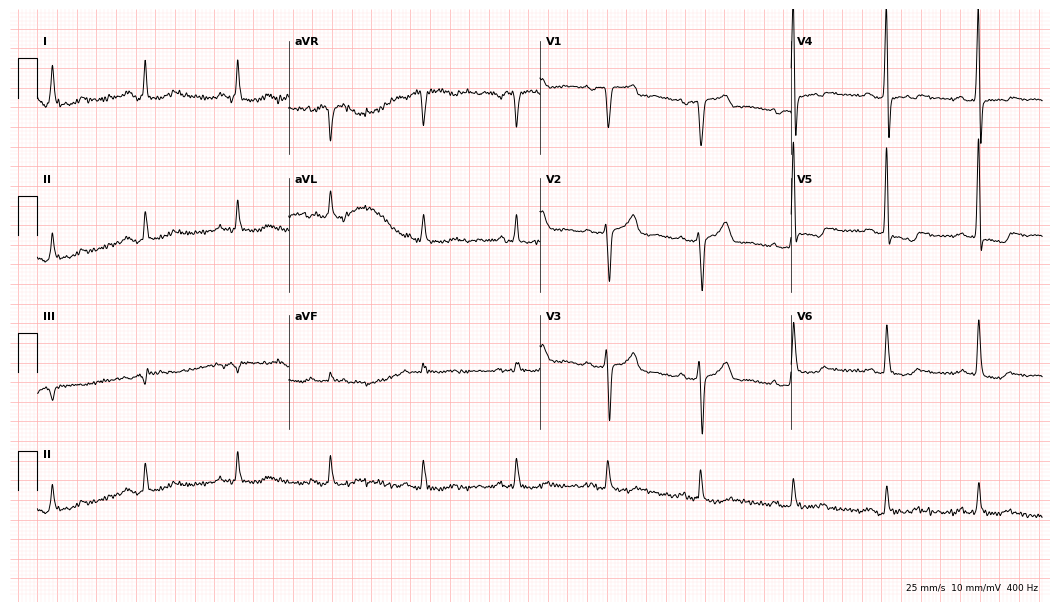
Standard 12-lead ECG recorded from a man, 70 years old (10.2-second recording at 400 Hz). None of these six findings is recorded: first-degree AV block, right bundle branch block, left bundle branch block, sinus bradycardia, atrial fibrillation, sinus tachycardia. Only these six findings were labelled.